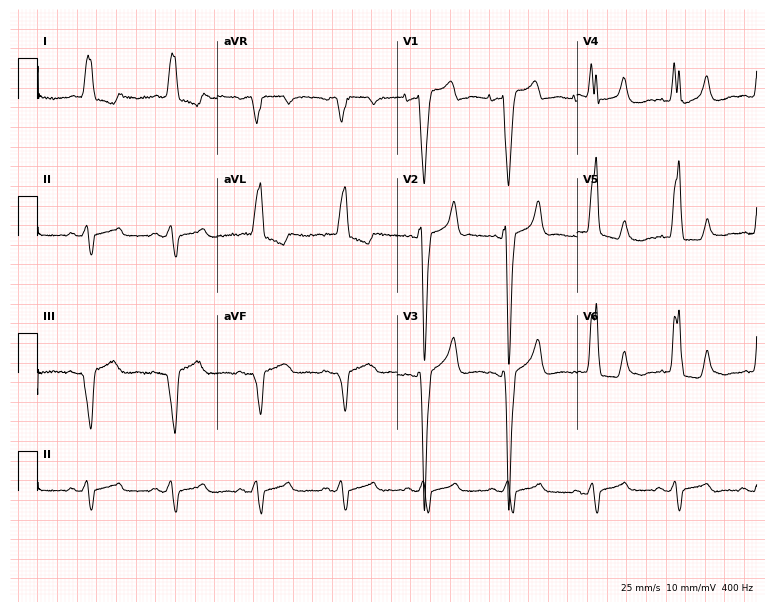
12-lead ECG from an 80-year-old female (7.3-second recording at 400 Hz). Shows left bundle branch block.